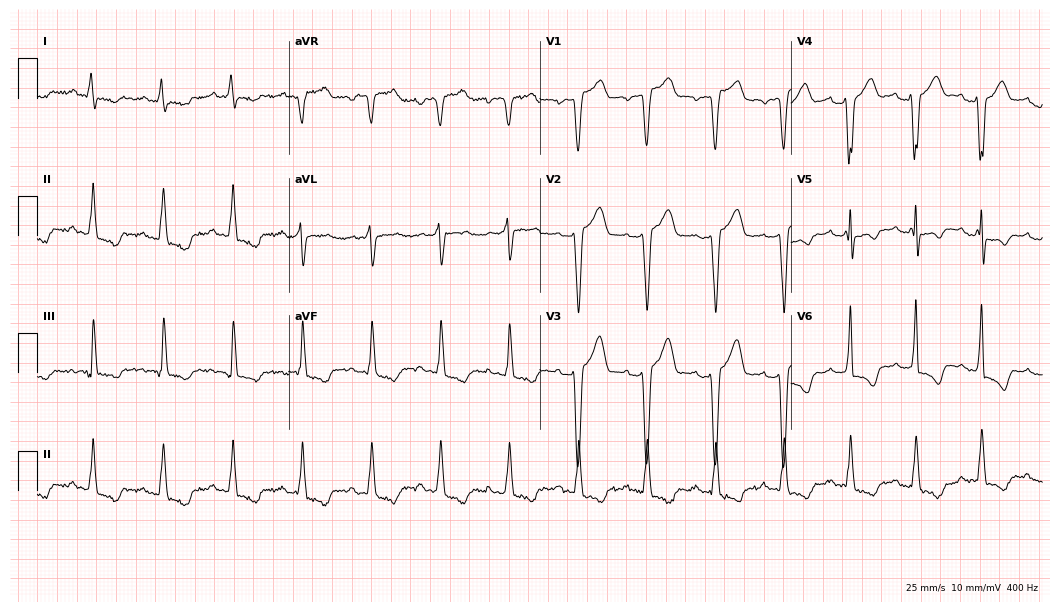
Electrocardiogram, a 36-year-old man. Of the six screened findings (first-degree AV block, right bundle branch block, left bundle branch block, sinus bradycardia, atrial fibrillation, sinus tachycardia), none is recorded.